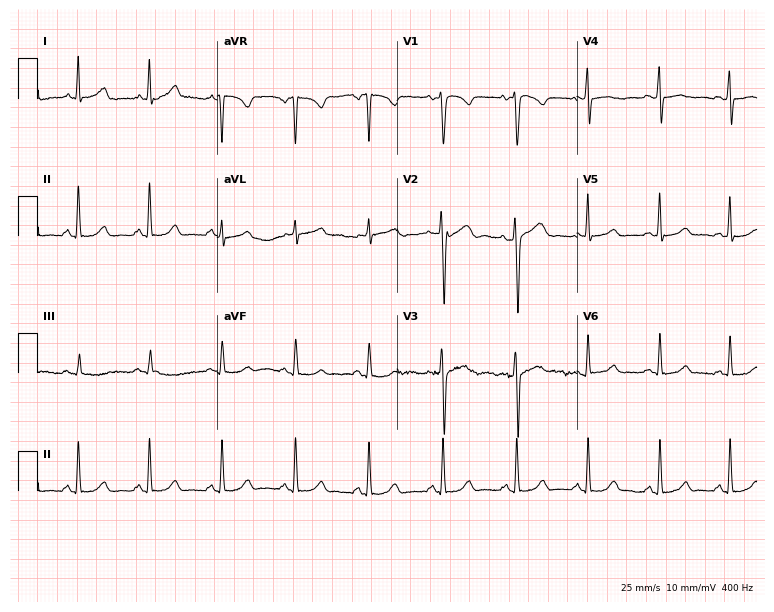
Standard 12-lead ECG recorded from a female patient, 29 years old (7.3-second recording at 400 Hz). None of these six findings is recorded: first-degree AV block, right bundle branch block, left bundle branch block, sinus bradycardia, atrial fibrillation, sinus tachycardia. Only these six findings were labelled.